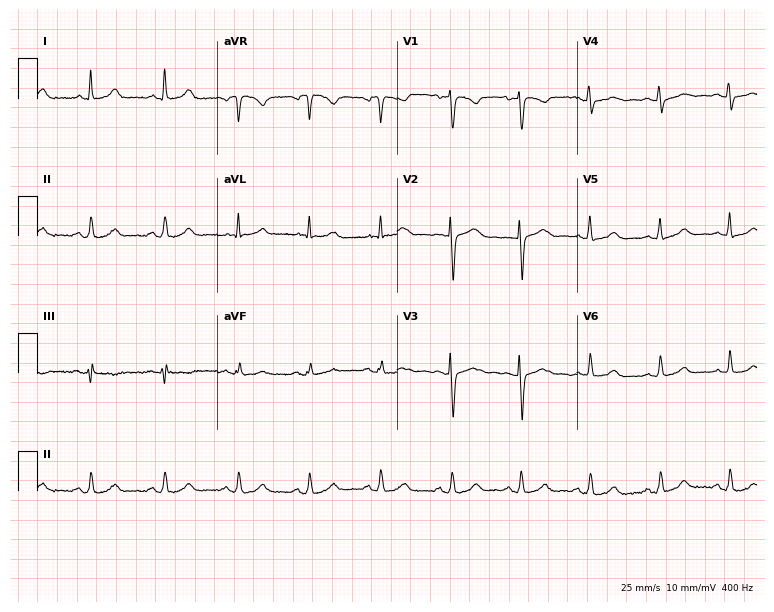
Resting 12-lead electrocardiogram (7.3-second recording at 400 Hz). Patient: a woman, 38 years old. Read as a normal ECG.